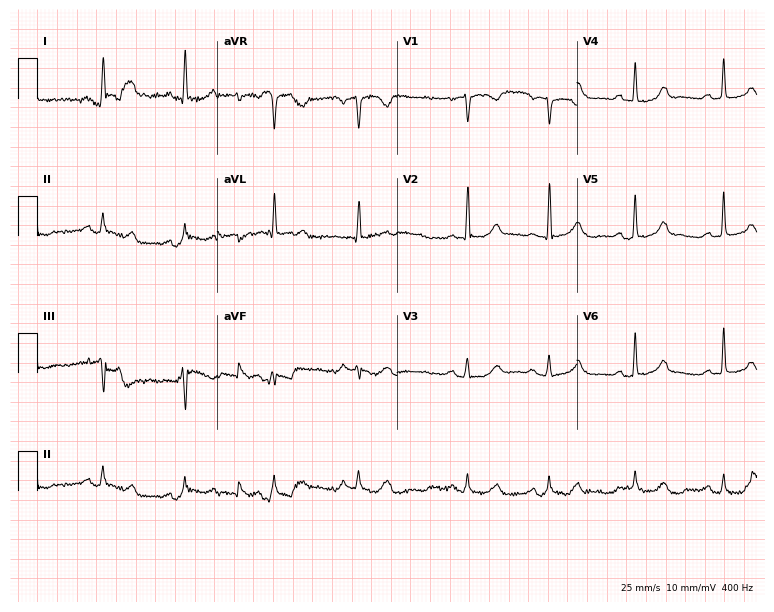
Resting 12-lead electrocardiogram (7.3-second recording at 400 Hz). Patient: an 83-year-old female. None of these six findings is recorded: first-degree AV block, right bundle branch block, left bundle branch block, sinus bradycardia, atrial fibrillation, sinus tachycardia. Other findings, if any, are not listed.